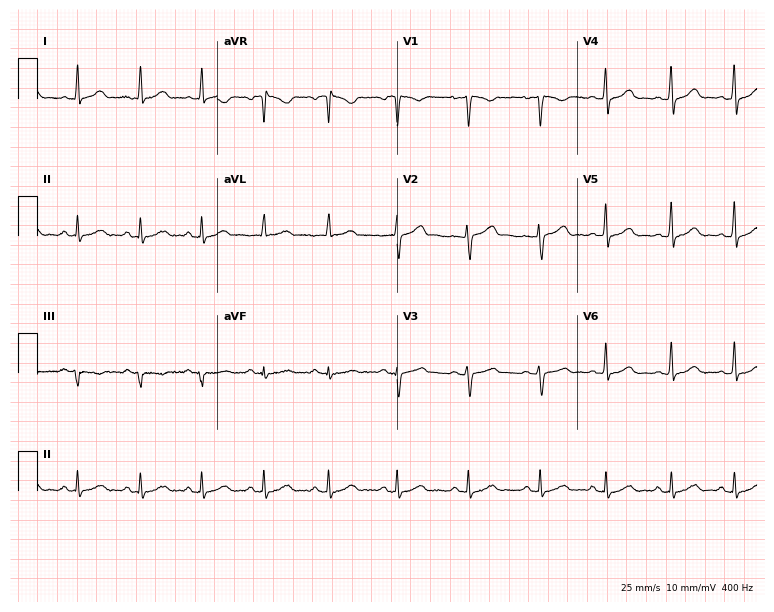
ECG — a 28-year-old female. Labelled as a normal ECG.